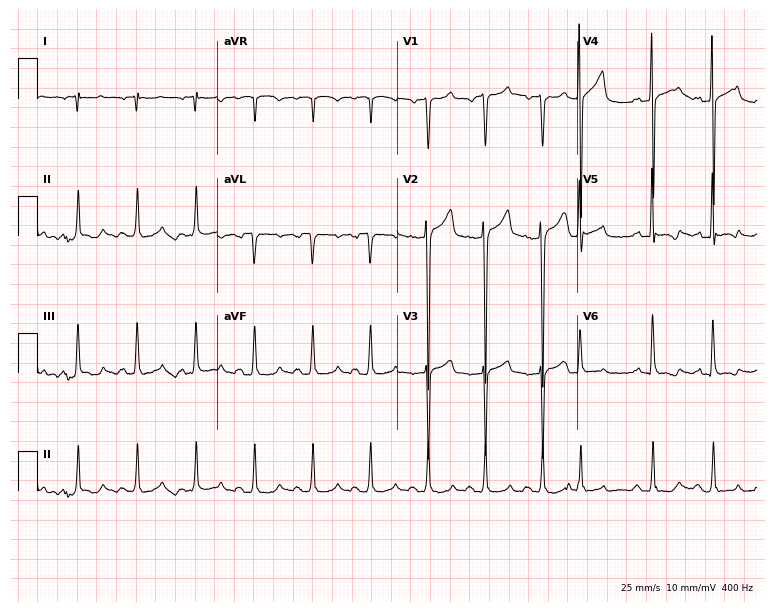
Standard 12-lead ECG recorded from a 47-year-old male (7.3-second recording at 400 Hz). None of these six findings is recorded: first-degree AV block, right bundle branch block (RBBB), left bundle branch block (LBBB), sinus bradycardia, atrial fibrillation (AF), sinus tachycardia.